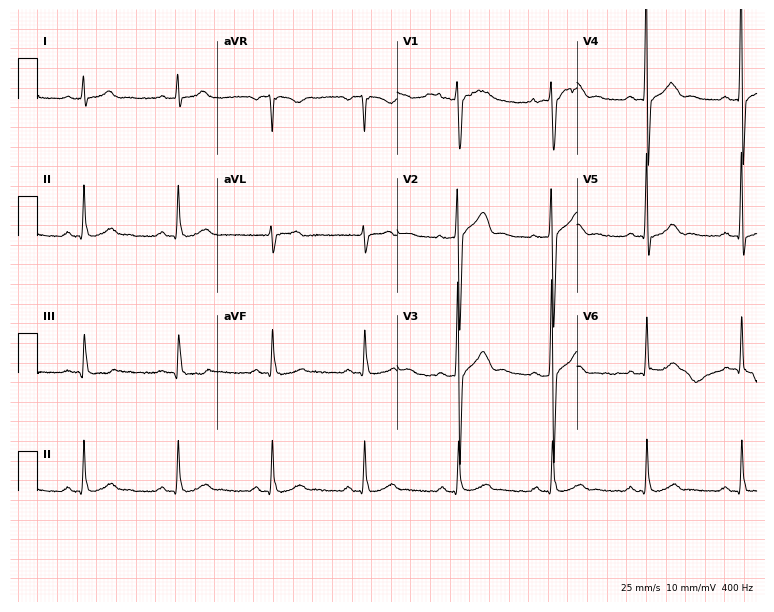
Electrocardiogram (7.3-second recording at 400 Hz), a 42-year-old man. Overall reading on record: normal ECG.